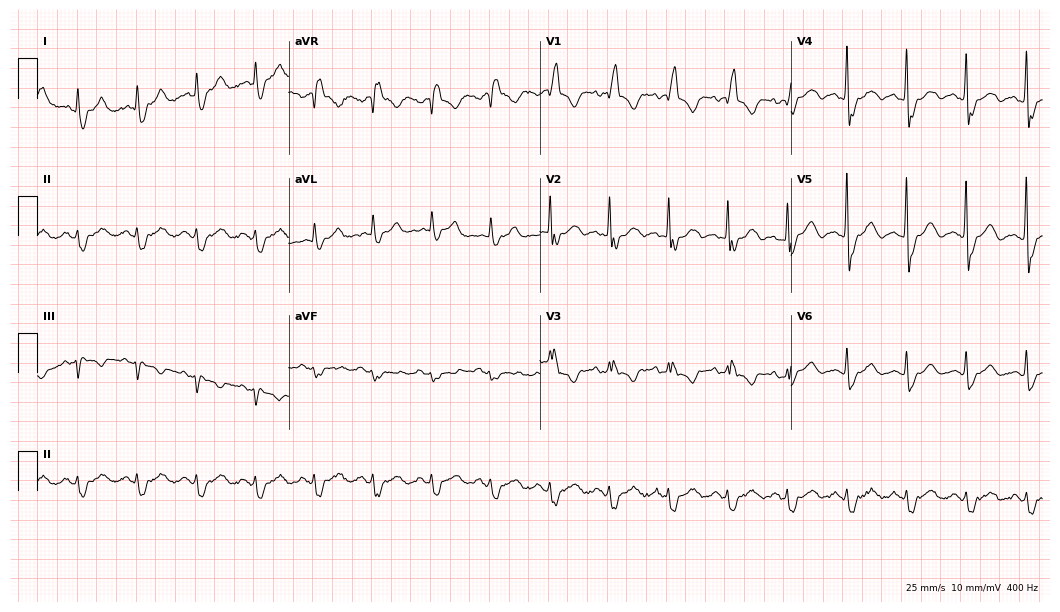
Resting 12-lead electrocardiogram. Patient: a woman, 71 years old. The tracing shows right bundle branch block.